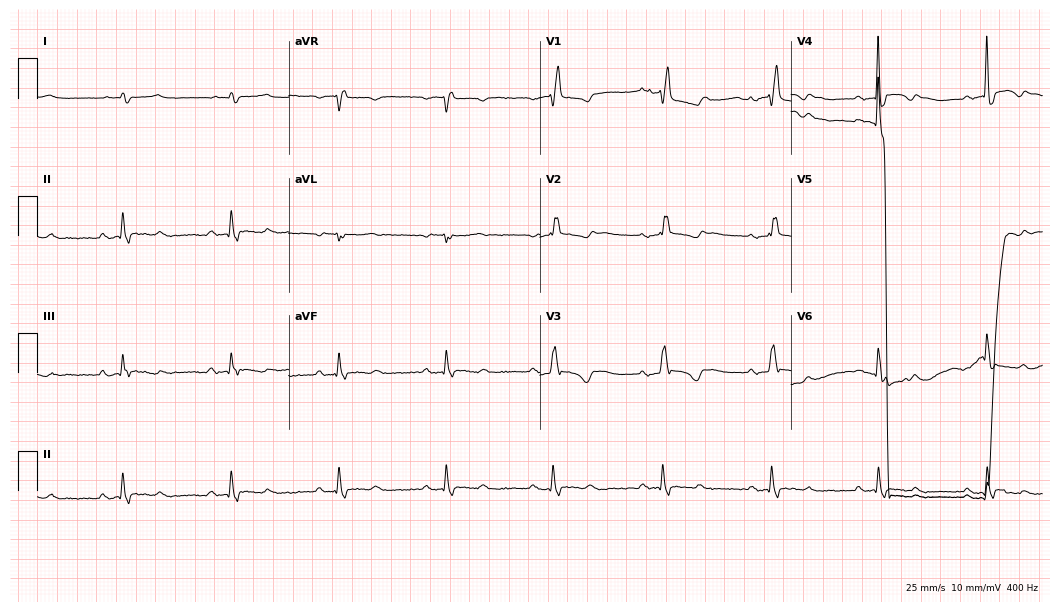
12-lead ECG from a male patient, 80 years old (10.2-second recording at 400 Hz). Shows right bundle branch block (RBBB).